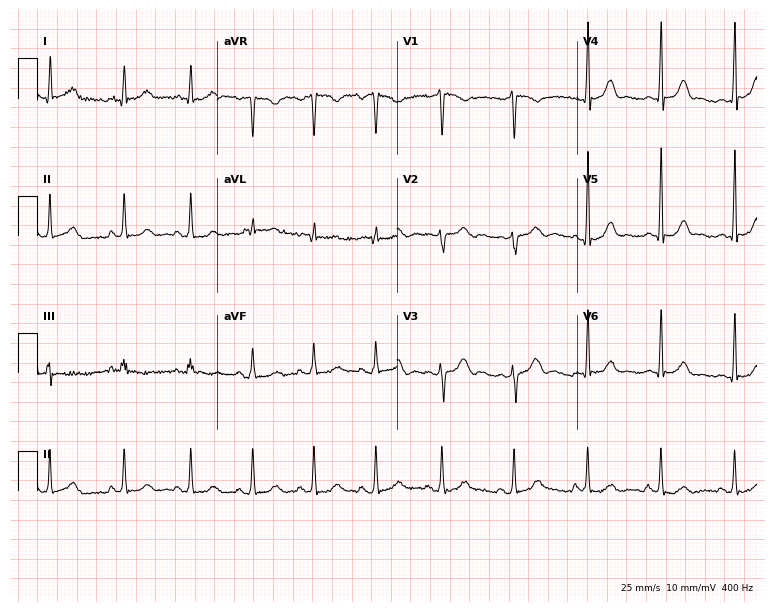
Standard 12-lead ECG recorded from a 21-year-old female patient. None of these six findings is recorded: first-degree AV block, right bundle branch block, left bundle branch block, sinus bradycardia, atrial fibrillation, sinus tachycardia.